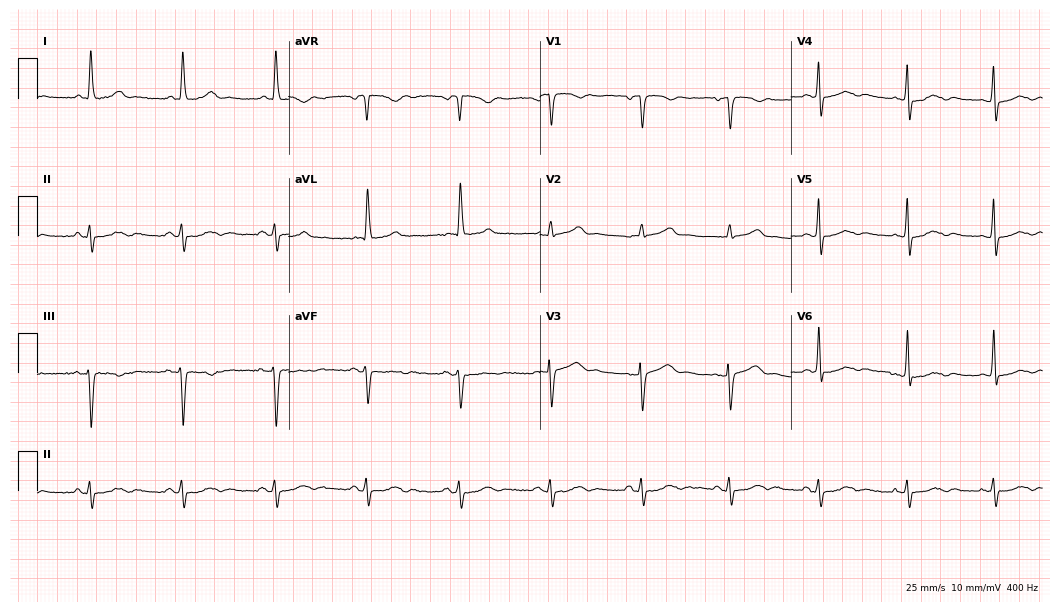
Resting 12-lead electrocardiogram (10.2-second recording at 400 Hz). Patient: a woman, 83 years old. None of these six findings is recorded: first-degree AV block, right bundle branch block, left bundle branch block, sinus bradycardia, atrial fibrillation, sinus tachycardia.